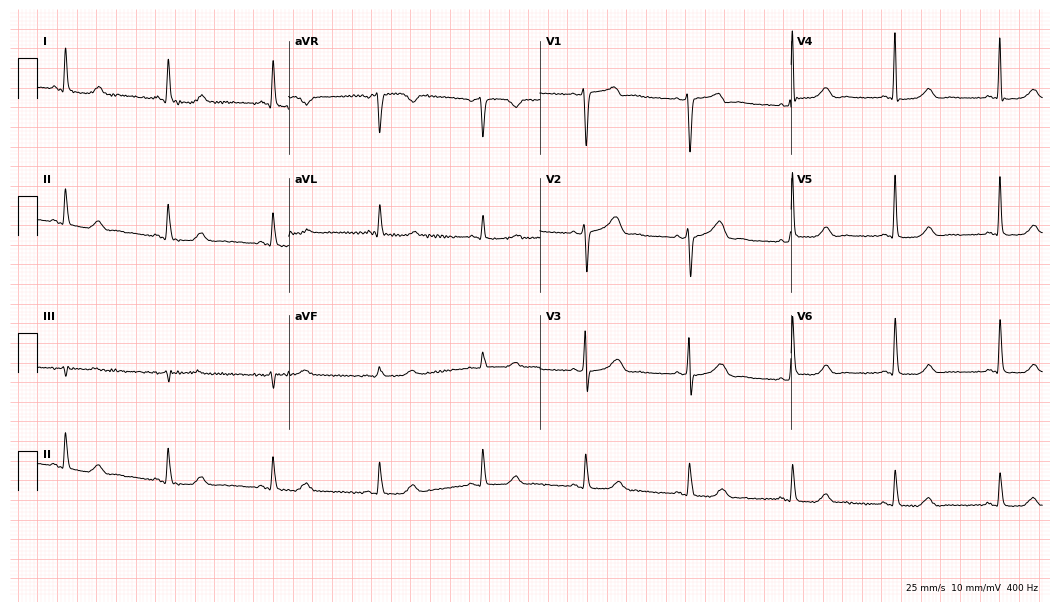
Resting 12-lead electrocardiogram (10.2-second recording at 400 Hz). Patient: a female, 65 years old. None of these six findings is recorded: first-degree AV block, right bundle branch block, left bundle branch block, sinus bradycardia, atrial fibrillation, sinus tachycardia.